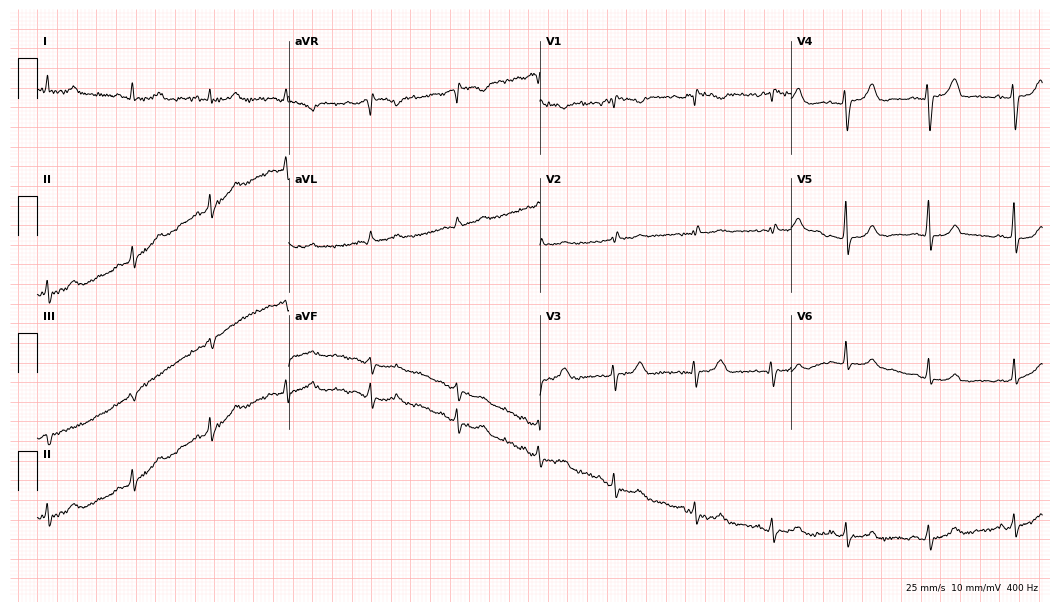
12-lead ECG (10.2-second recording at 400 Hz) from a woman, 37 years old. Labelled as a normal ECG.